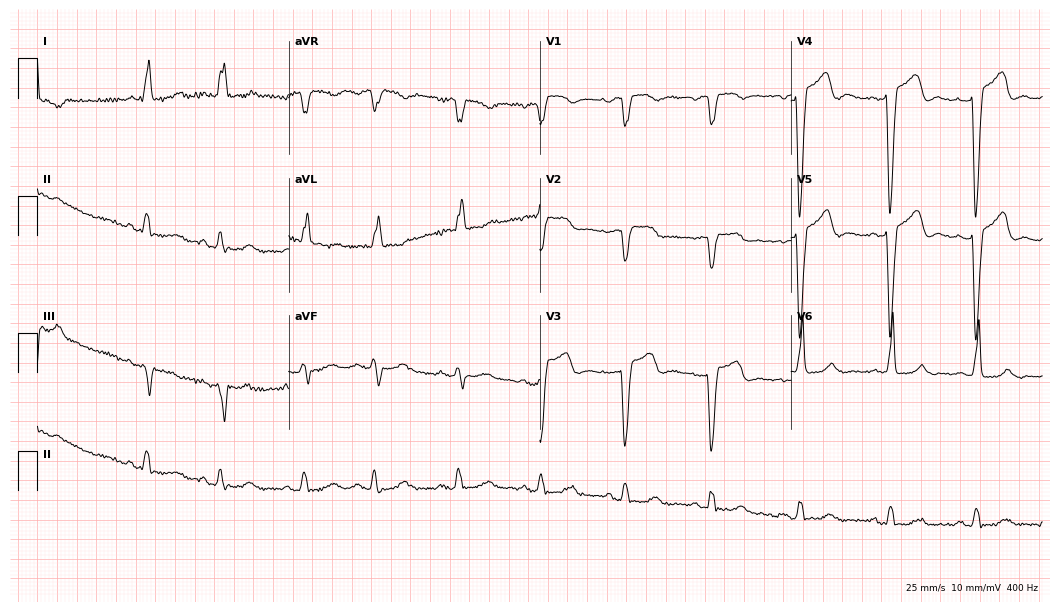
ECG — a woman, 68 years old. Screened for six findings — first-degree AV block, right bundle branch block, left bundle branch block, sinus bradycardia, atrial fibrillation, sinus tachycardia — none is recorded. Only these six findings were labelled.